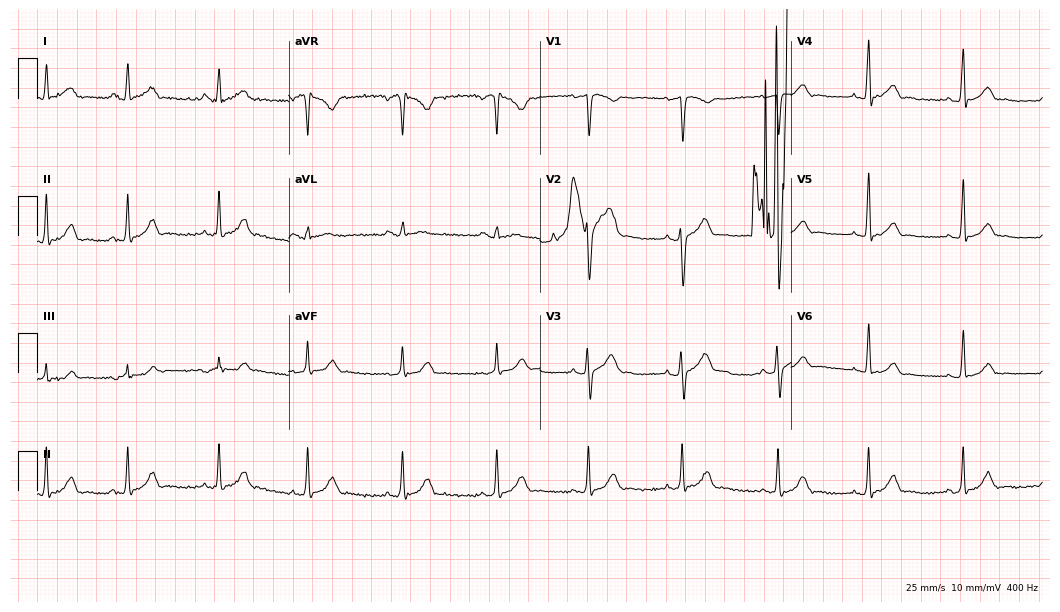
12-lead ECG (10.2-second recording at 400 Hz) from a male patient, 23 years old. Labelled as a normal ECG.